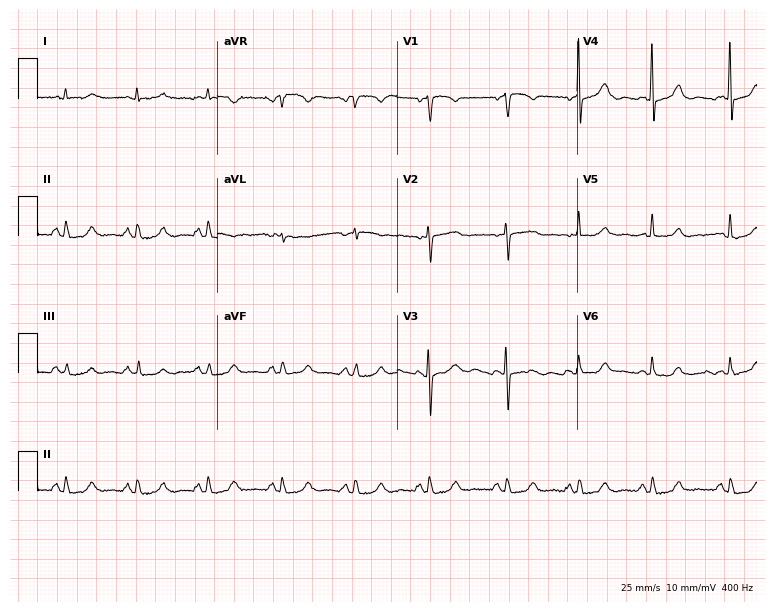
12-lead ECG from a female patient, 80 years old. No first-degree AV block, right bundle branch block, left bundle branch block, sinus bradycardia, atrial fibrillation or sinus tachycardia recorded for this tracing. Findings outside these six are not listed.